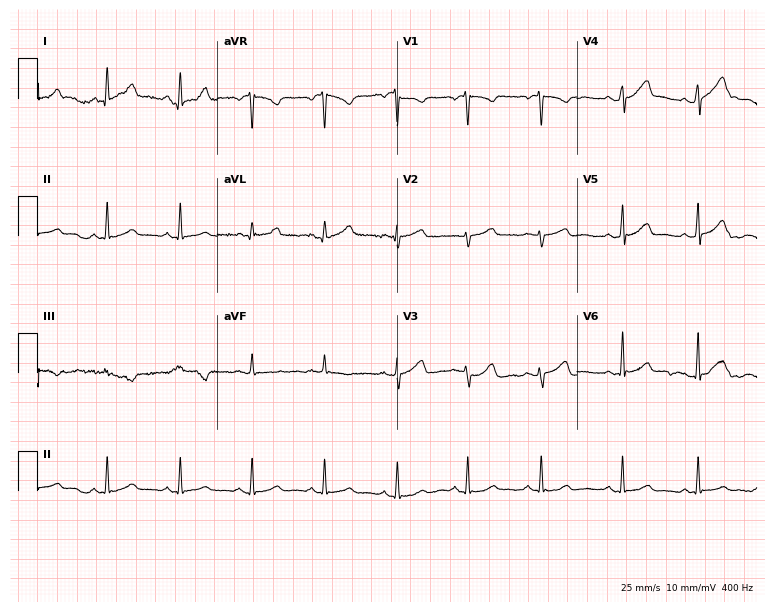
Standard 12-lead ECG recorded from a woman, 29 years old. Read as a normal ECG.